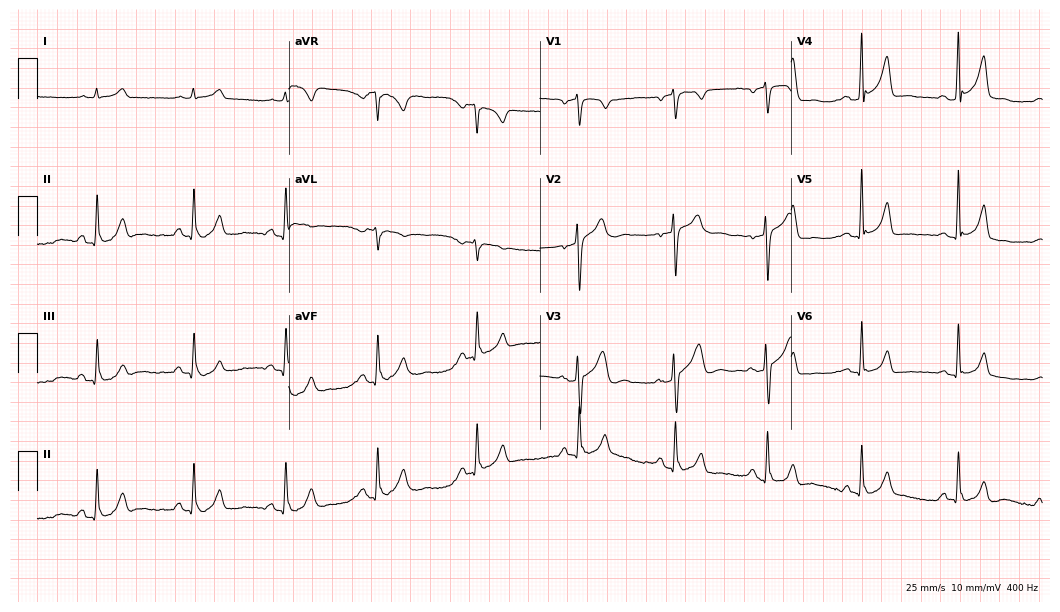
12-lead ECG from a male, 38 years old. Recorded interpretation: within normal limits.